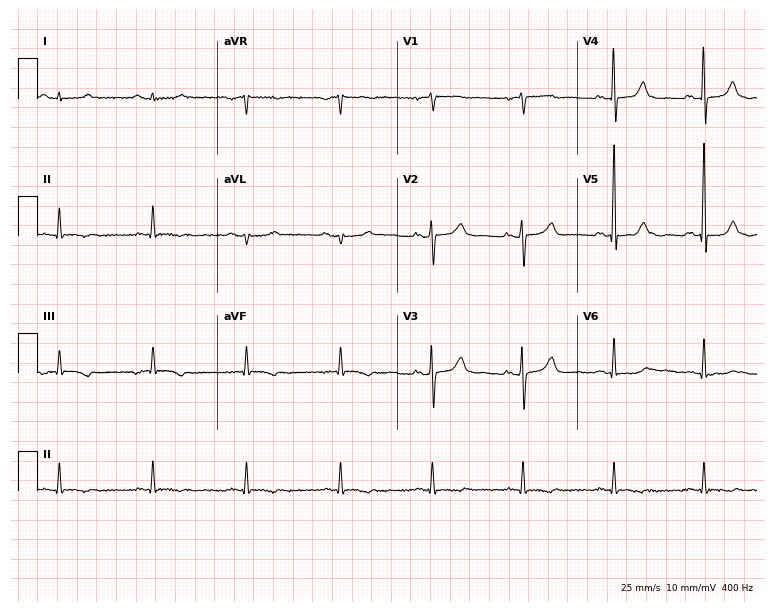
12-lead ECG (7.3-second recording at 400 Hz) from a female, 38 years old. Screened for six findings — first-degree AV block, right bundle branch block, left bundle branch block, sinus bradycardia, atrial fibrillation, sinus tachycardia — none is recorded. Only these six findings were labelled.